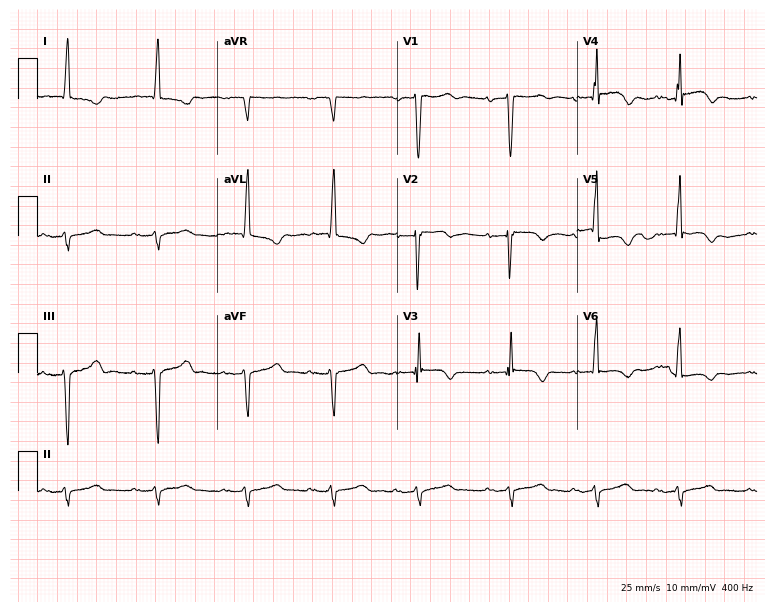
12-lead ECG from a woman, 74 years old. Findings include first-degree AV block.